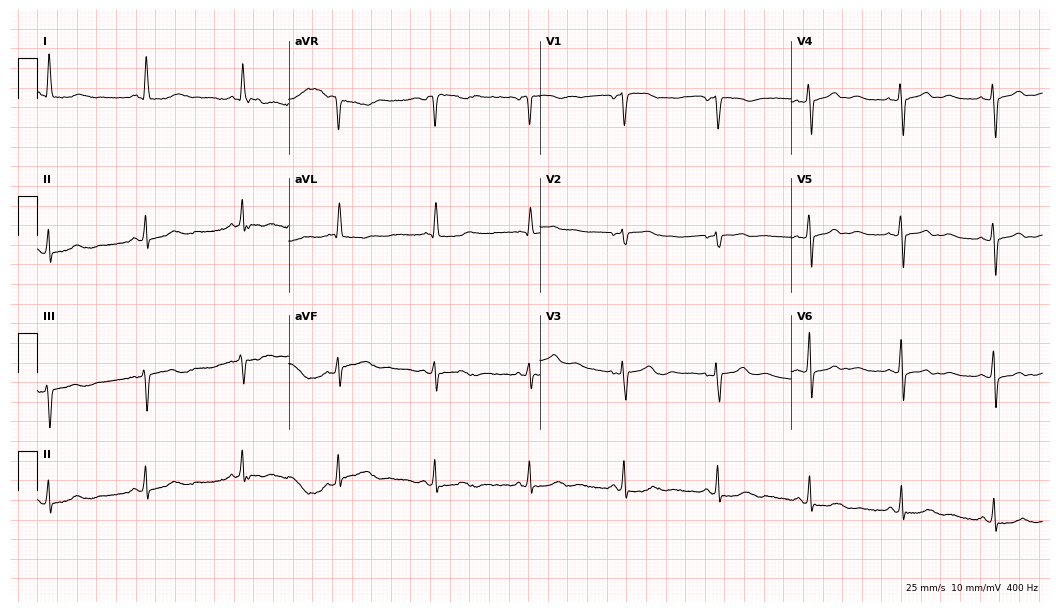
Standard 12-lead ECG recorded from a woman, 59 years old (10.2-second recording at 400 Hz). None of these six findings is recorded: first-degree AV block, right bundle branch block (RBBB), left bundle branch block (LBBB), sinus bradycardia, atrial fibrillation (AF), sinus tachycardia. Only these six findings were labelled.